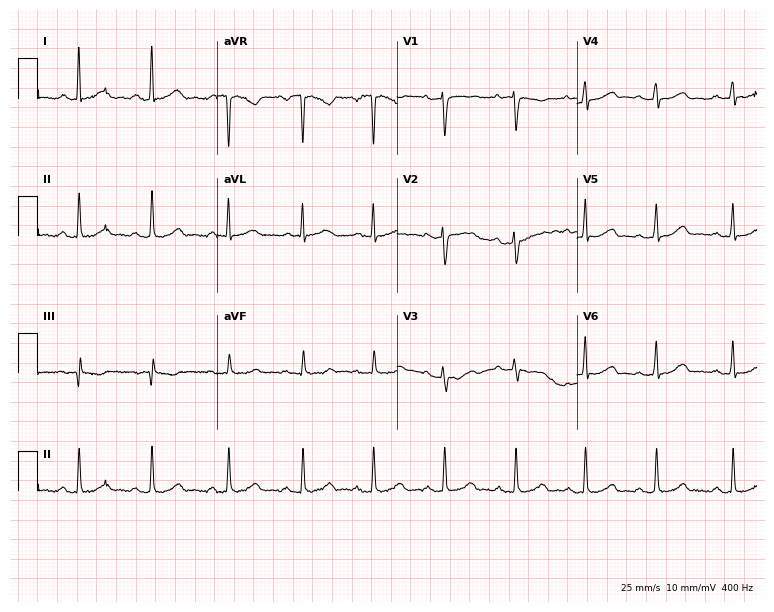
ECG (7.3-second recording at 400 Hz) — a woman, 41 years old. Screened for six findings — first-degree AV block, right bundle branch block, left bundle branch block, sinus bradycardia, atrial fibrillation, sinus tachycardia — none is recorded.